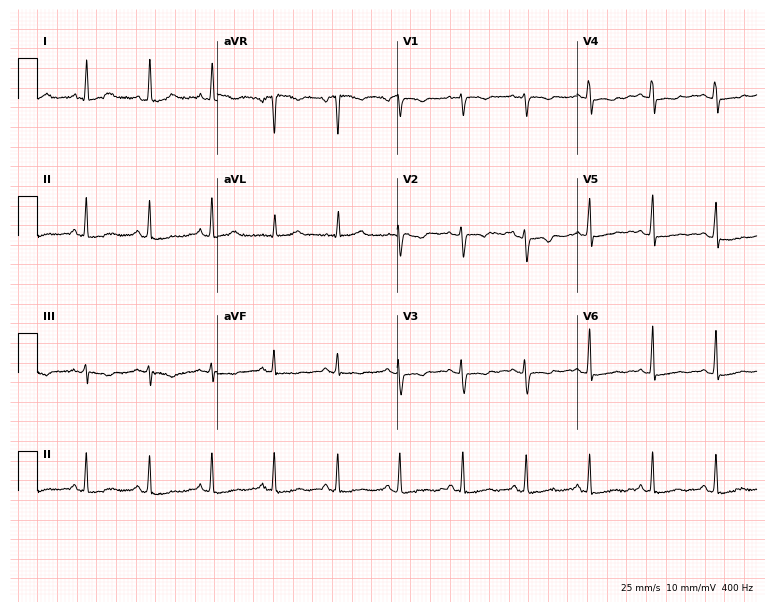
12-lead ECG from a female patient, 39 years old. Screened for six findings — first-degree AV block, right bundle branch block, left bundle branch block, sinus bradycardia, atrial fibrillation, sinus tachycardia — none is recorded.